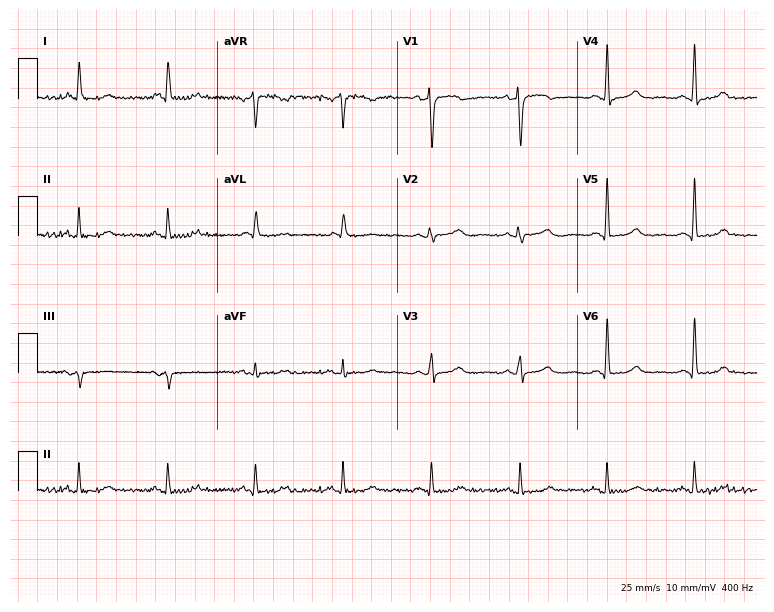
12-lead ECG from a 61-year-old woman. Screened for six findings — first-degree AV block, right bundle branch block, left bundle branch block, sinus bradycardia, atrial fibrillation, sinus tachycardia — none is recorded. Only these six findings were labelled.